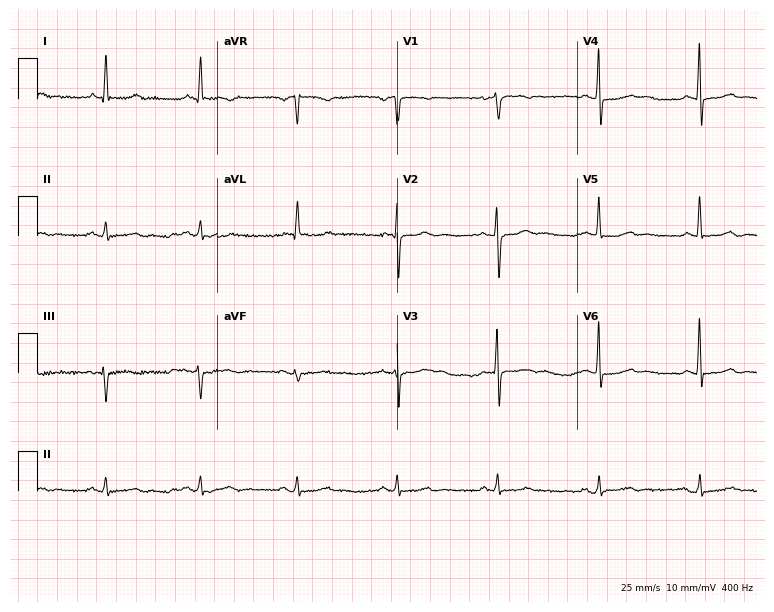
ECG — a 63-year-old female. Labelled as a normal ECG.